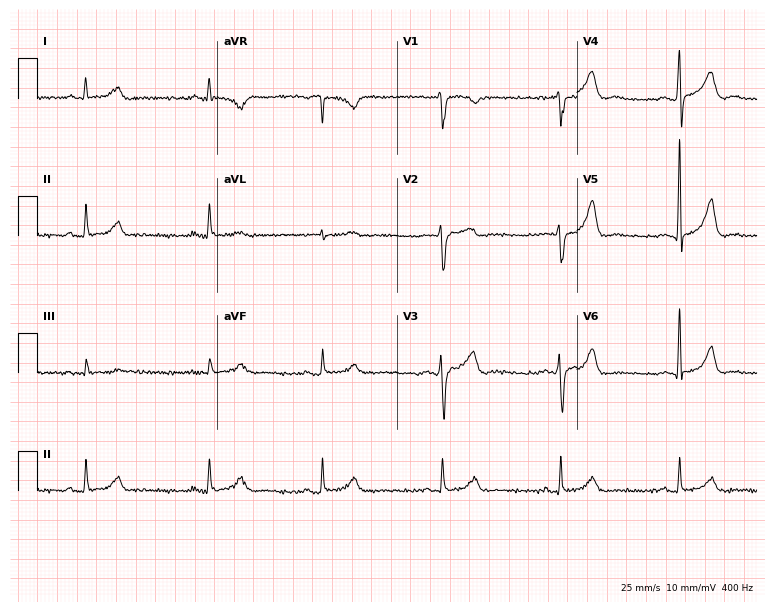
12-lead ECG (7.3-second recording at 400 Hz) from a man, 64 years old. Screened for six findings — first-degree AV block, right bundle branch block (RBBB), left bundle branch block (LBBB), sinus bradycardia, atrial fibrillation (AF), sinus tachycardia — none is recorded. Other findings, if any, are not listed.